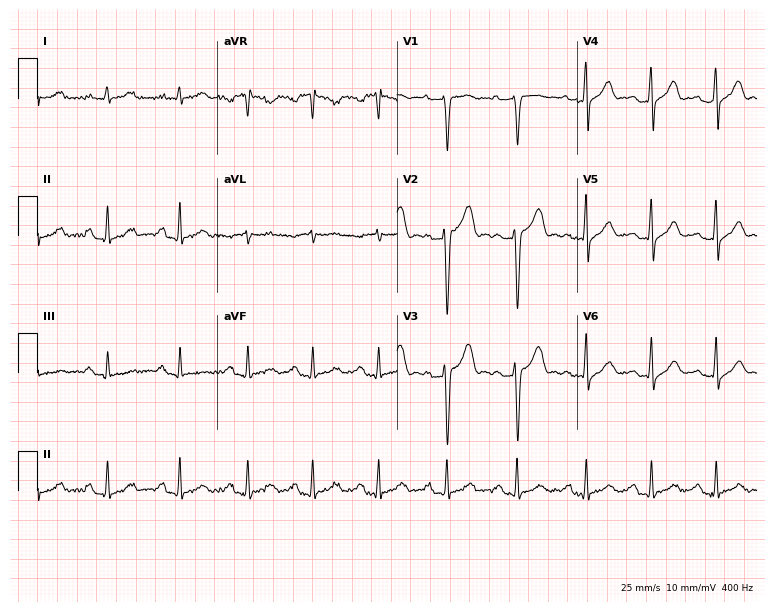
Standard 12-lead ECG recorded from a 40-year-old male (7.3-second recording at 400 Hz). None of these six findings is recorded: first-degree AV block, right bundle branch block, left bundle branch block, sinus bradycardia, atrial fibrillation, sinus tachycardia. Other findings, if any, are not listed.